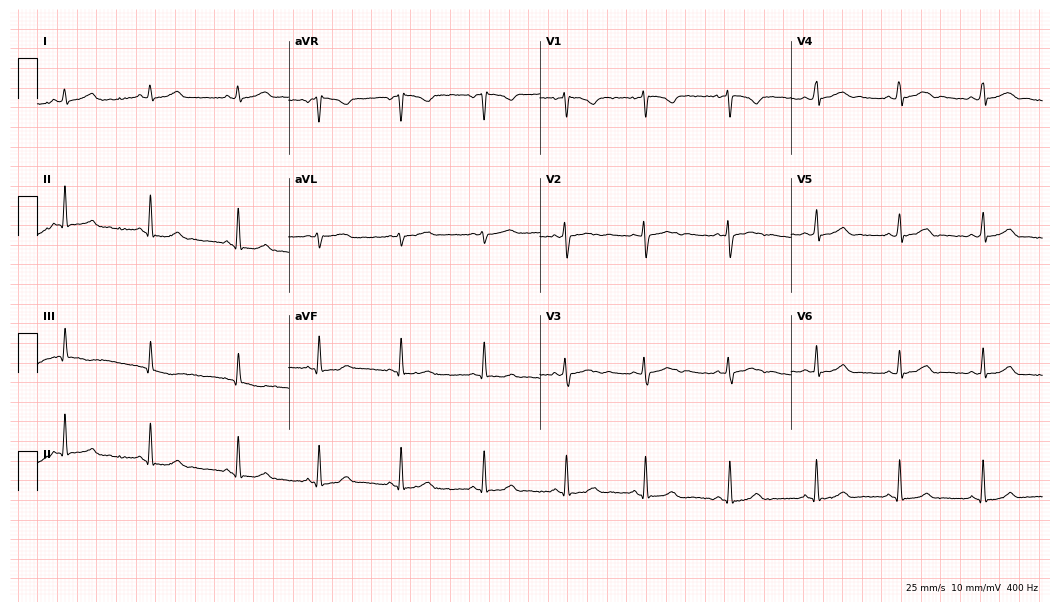
Electrocardiogram (10.2-second recording at 400 Hz), a female, 22 years old. Overall reading on record: normal ECG.